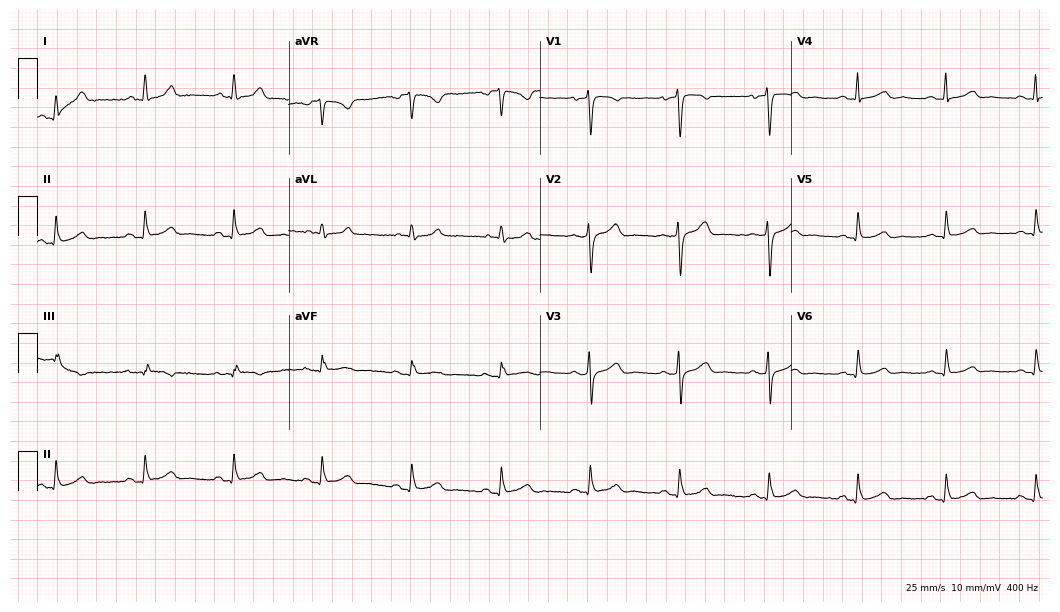
Electrocardiogram, a female patient, 62 years old. Of the six screened findings (first-degree AV block, right bundle branch block, left bundle branch block, sinus bradycardia, atrial fibrillation, sinus tachycardia), none is recorded.